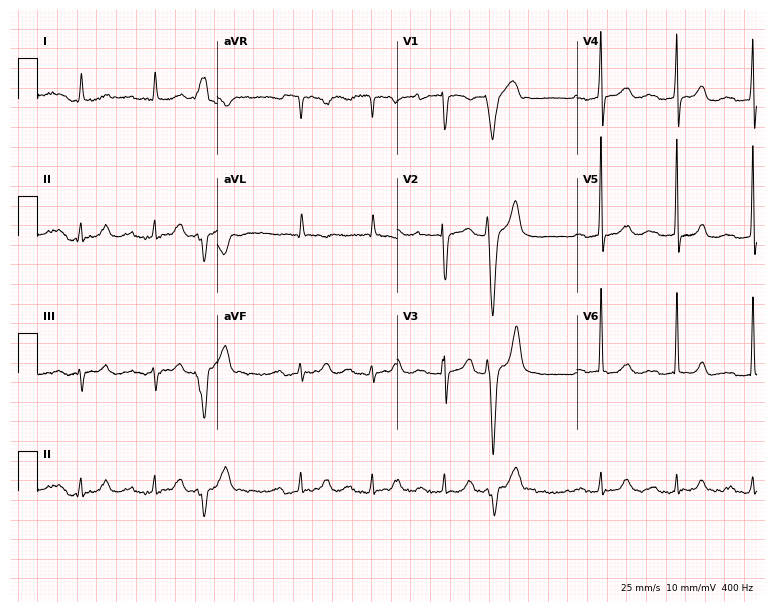
12-lead ECG from an 85-year-old female. Findings include first-degree AV block.